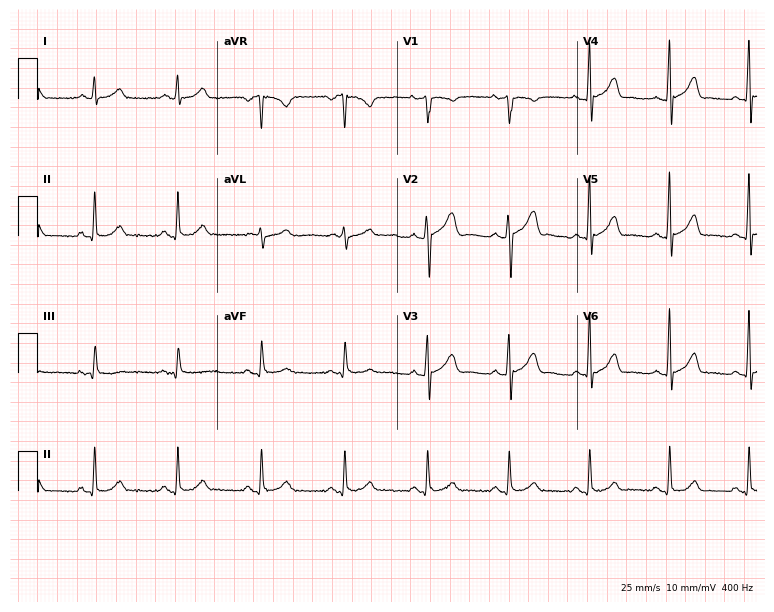
Resting 12-lead electrocardiogram (7.3-second recording at 400 Hz). Patient: a male, 37 years old. Read as a normal ECG.